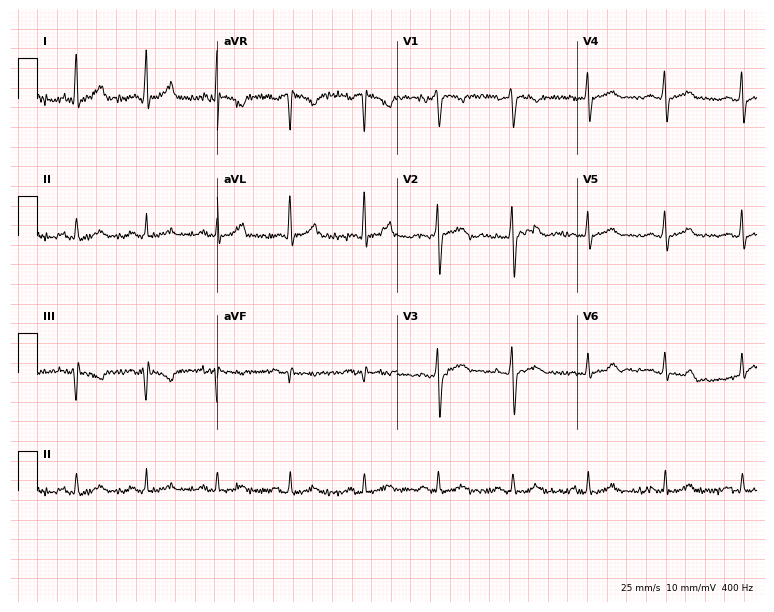
12-lead ECG (7.3-second recording at 400 Hz) from a 32-year-old man. Labelled as a normal ECG.